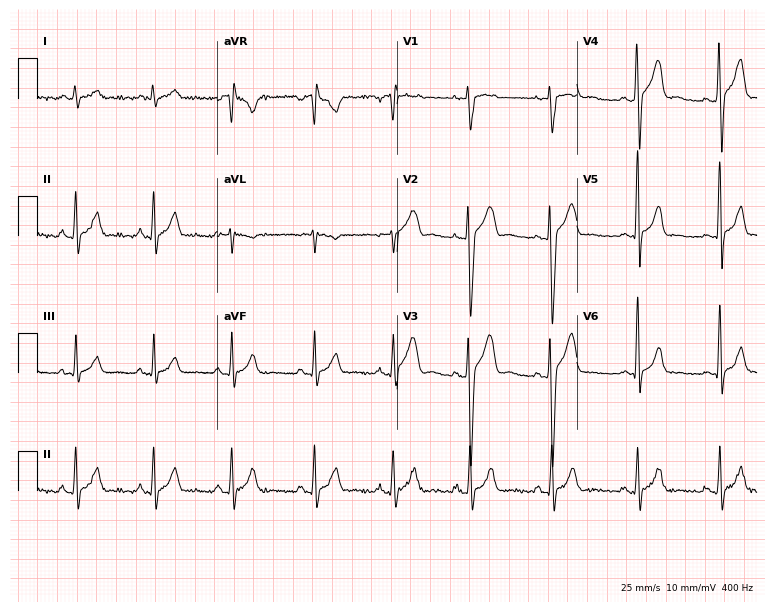
Electrocardiogram, a male, 23 years old. Of the six screened findings (first-degree AV block, right bundle branch block, left bundle branch block, sinus bradycardia, atrial fibrillation, sinus tachycardia), none is recorded.